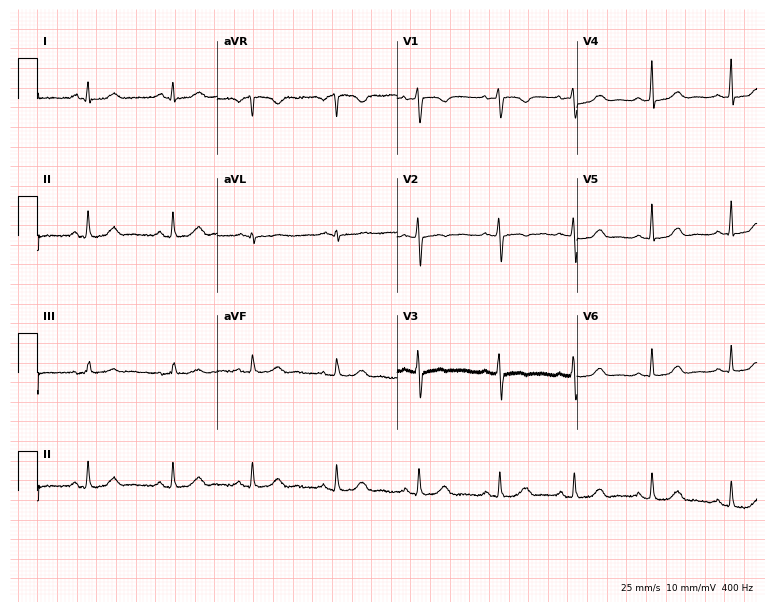
12-lead ECG from a female patient, 28 years old. No first-degree AV block, right bundle branch block (RBBB), left bundle branch block (LBBB), sinus bradycardia, atrial fibrillation (AF) or sinus tachycardia recorded for this tracing.